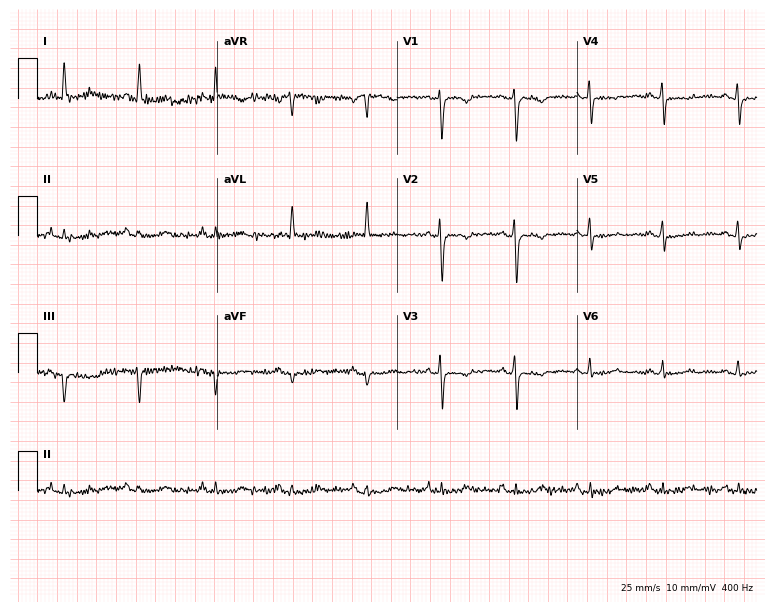
Resting 12-lead electrocardiogram (7.3-second recording at 400 Hz). Patient: a female, 69 years old. Read as a normal ECG.